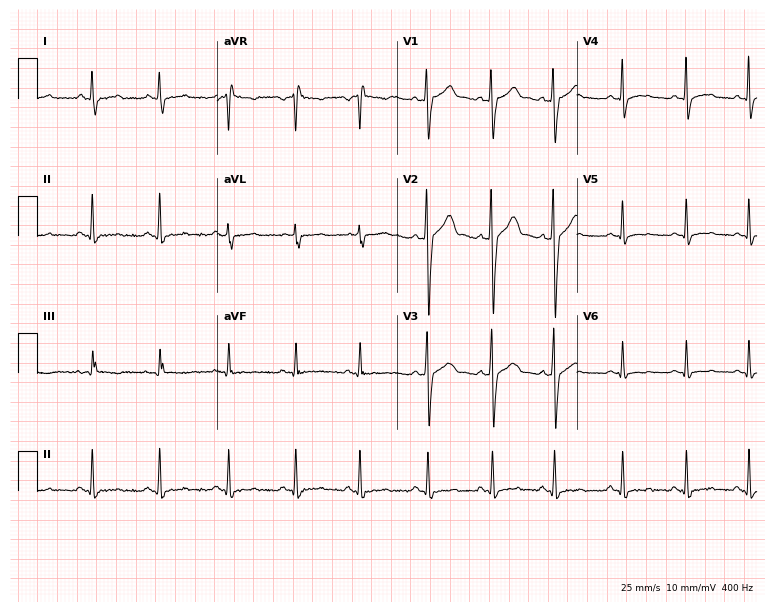
Electrocardiogram (7.3-second recording at 400 Hz), a man, 18 years old. Overall reading on record: normal ECG.